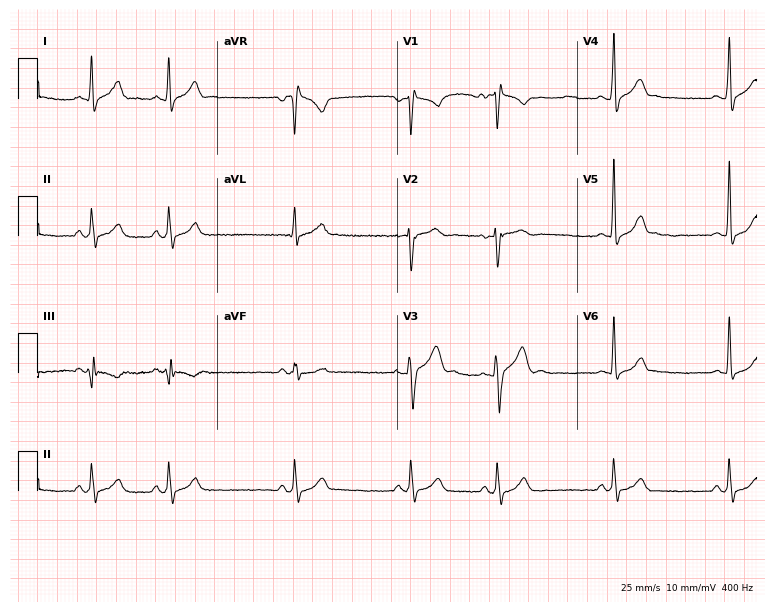
Standard 12-lead ECG recorded from a 20-year-old male (7.3-second recording at 400 Hz). Read as a normal ECG.